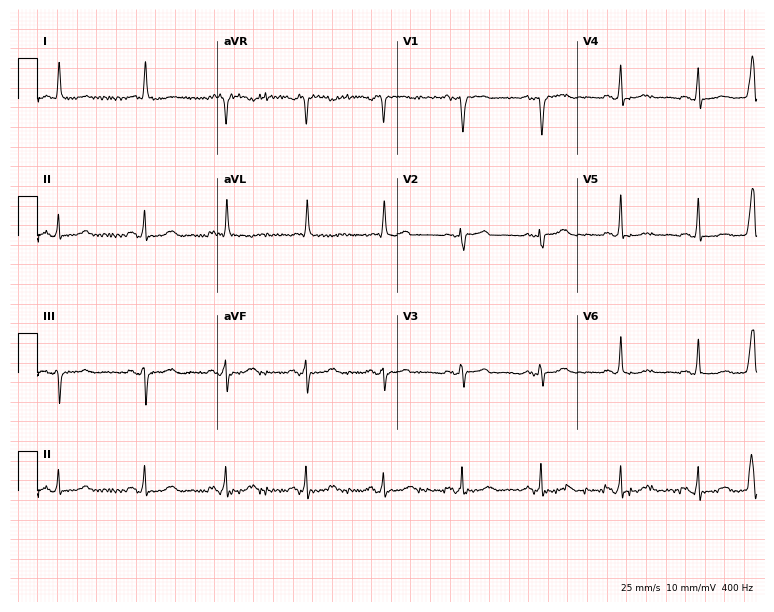
12-lead ECG from an 82-year-old woman (7.3-second recording at 400 Hz). No first-degree AV block, right bundle branch block, left bundle branch block, sinus bradycardia, atrial fibrillation or sinus tachycardia recorded for this tracing.